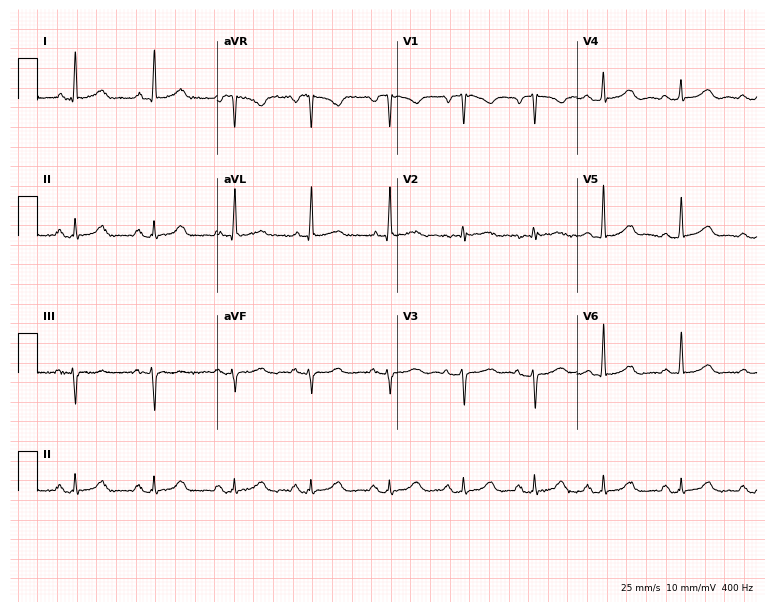
ECG (7.3-second recording at 400 Hz) — a female patient, 60 years old. Labelled as a normal ECG.